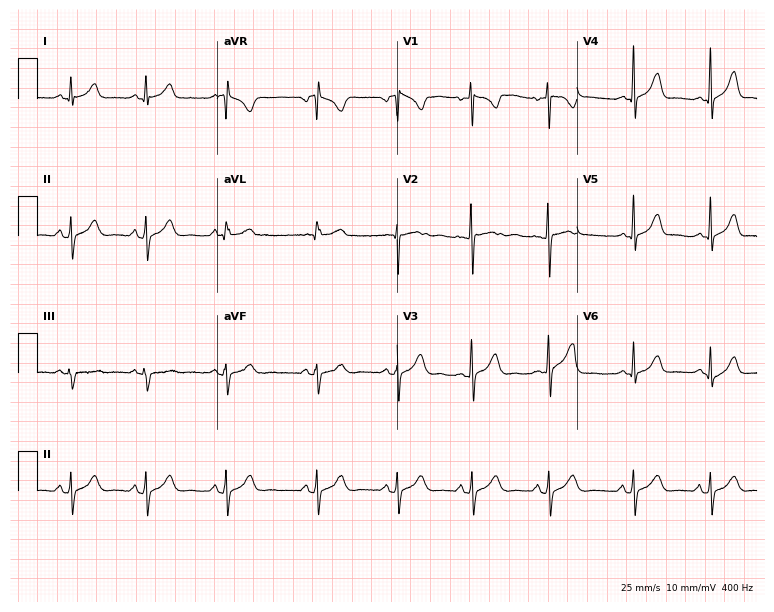
Electrocardiogram, an 18-year-old female. Overall reading on record: normal ECG.